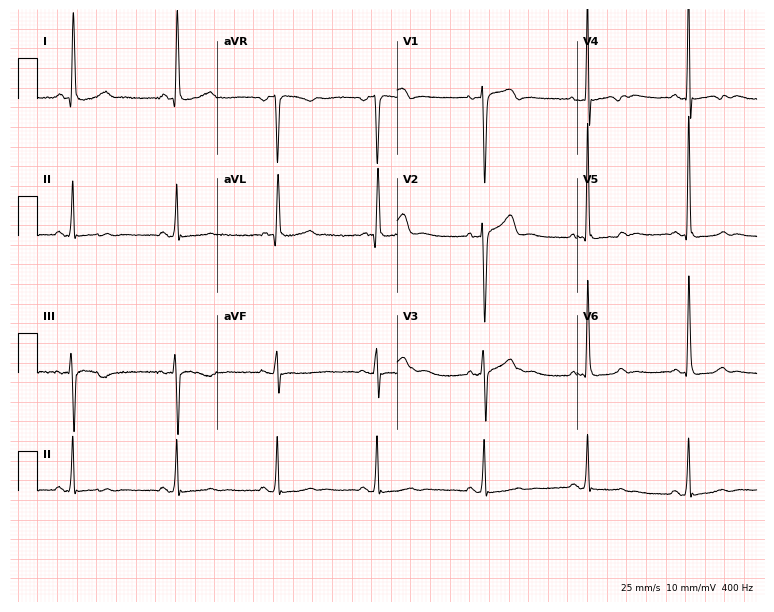
12-lead ECG (7.3-second recording at 400 Hz) from a female patient, 65 years old. Screened for six findings — first-degree AV block, right bundle branch block, left bundle branch block, sinus bradycardia, atrial fibrillation, sinus tachycardia — none is recorded. Other findings, if any, are not listed.